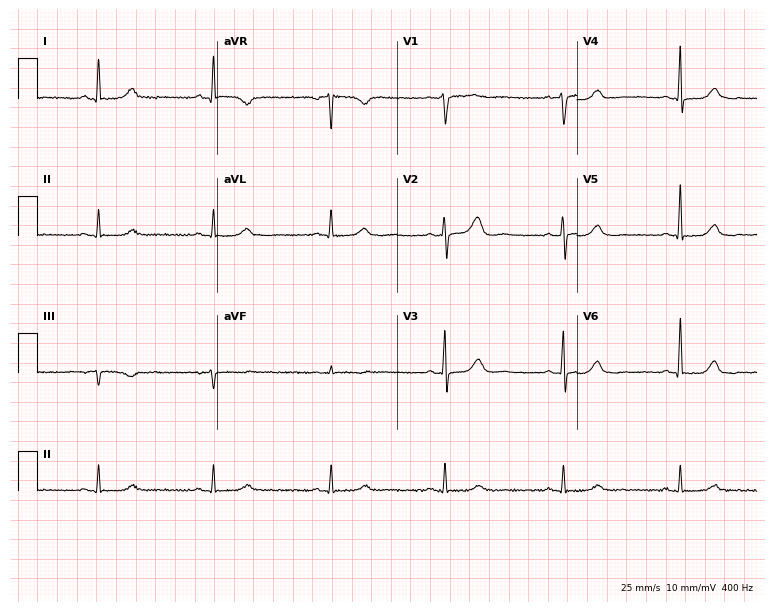
Standard 12-lead ECG recorded from a 61-year-old woman. Read as a normal ECG.